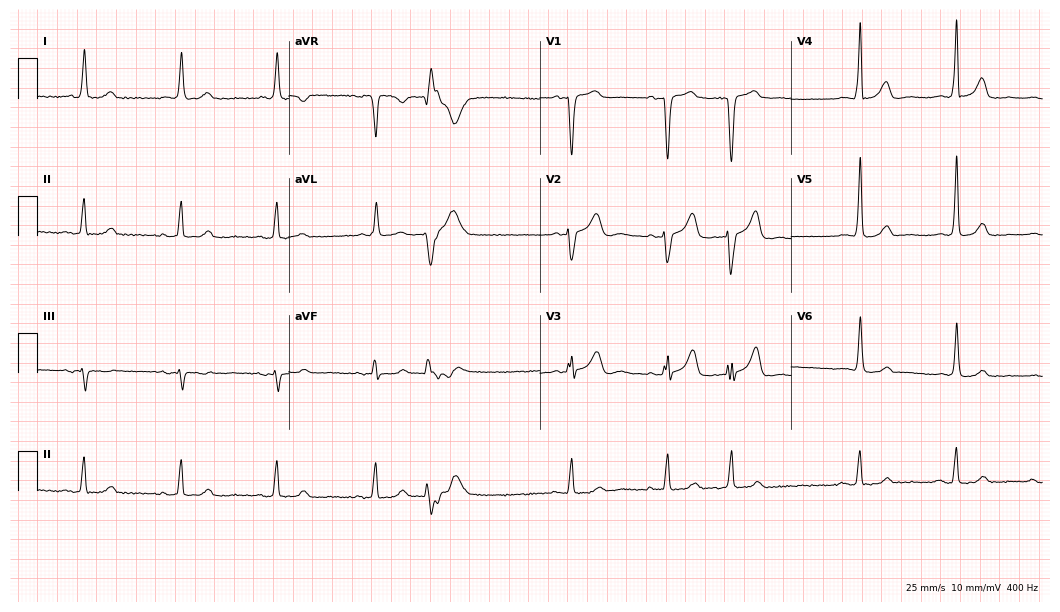
12-lead ECG from a 71-year-old female patient. No first-degree AV block, right bundle branch block, left bundle branch block, sinus bradycardia, atrial fibrillation or sinus tachycardia recorded for this tracing. Only these six findings were labelled.